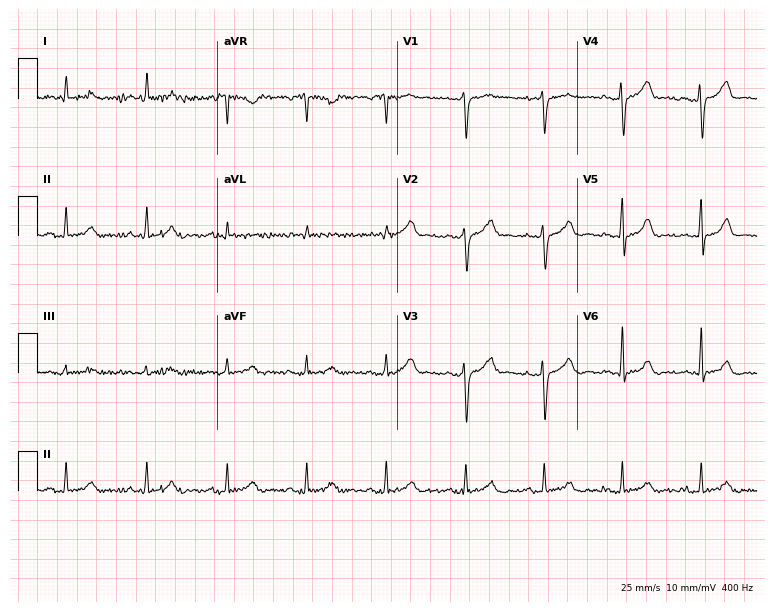
Electrocardiogram, a male patient, 59 years old. Overall reading on record: normal ECG.